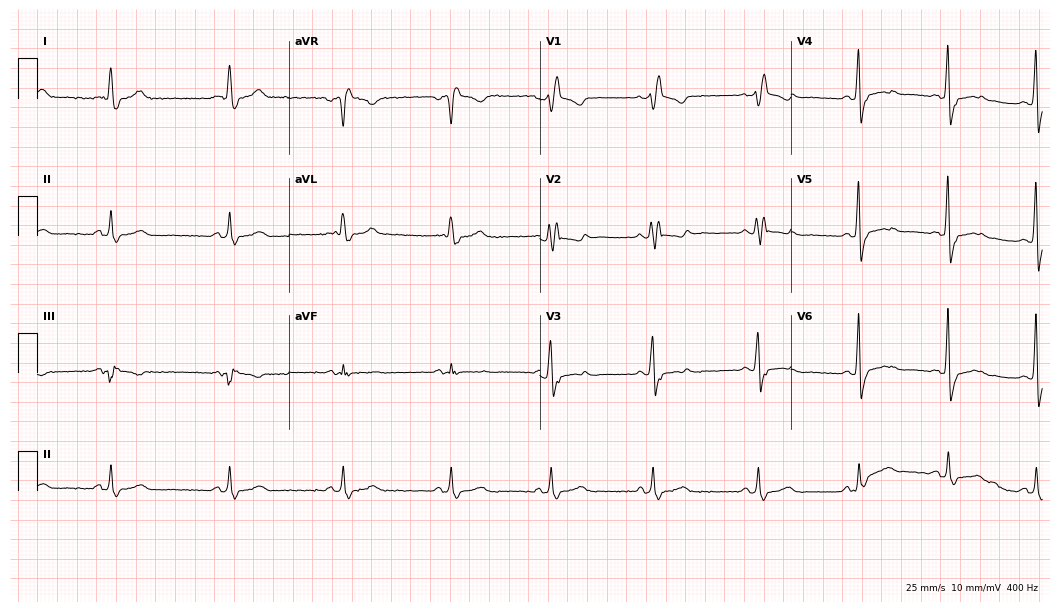
12-lead ECG from a 54-year-old female patient. Shows right bundle branch block (RBBB).